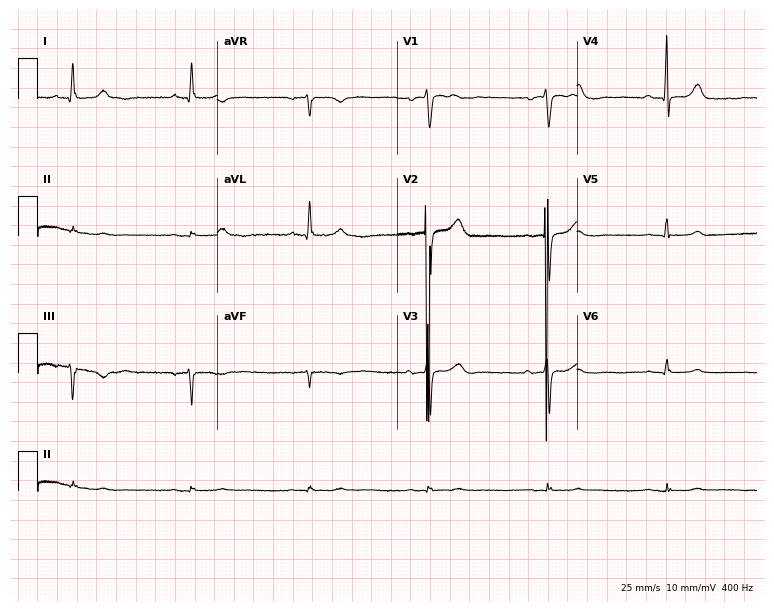
12-lead ECG (7.3-second recording at 400 Hz) from an 81-year-old male. Screened for six findings — first-degree AV block, right bundle branch block, left bundle branch block, sinus bradycardia, atrial fibrillation, sinus tachycardia — none is recorded. Findings outside these six are not listed.